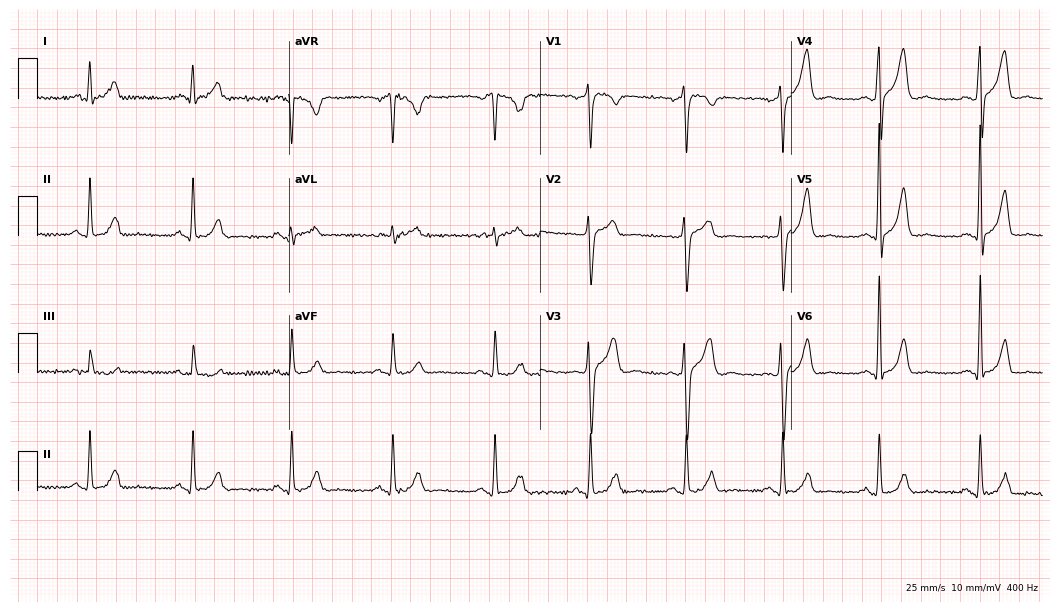
Standard 12-lead ECG recorded from a 46-year-old male patient. Read as a normal ECG.